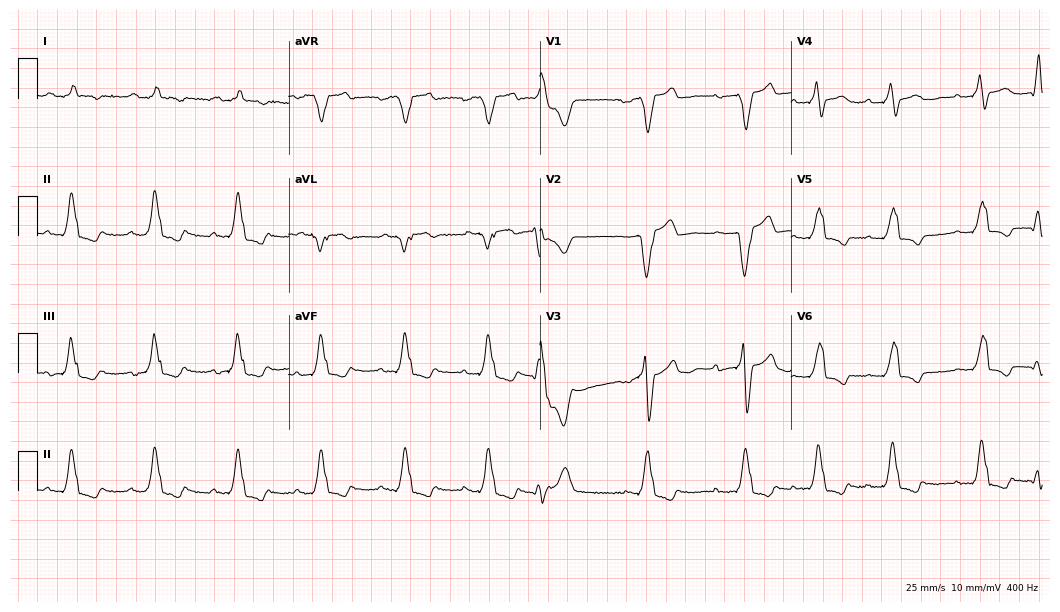
12-lead ECG (10.2-second recording at 400 Hz) from a 70-year-old female. Findings include left bundle branch block.